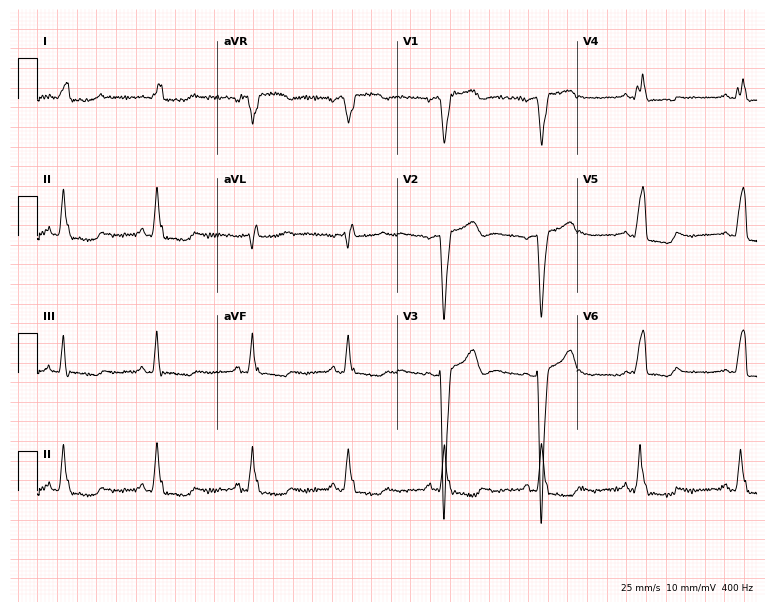
12-lead ECG (7.3-second recording at 400 Hz) from a 77-year-old female. Findings include left bundle branch block.